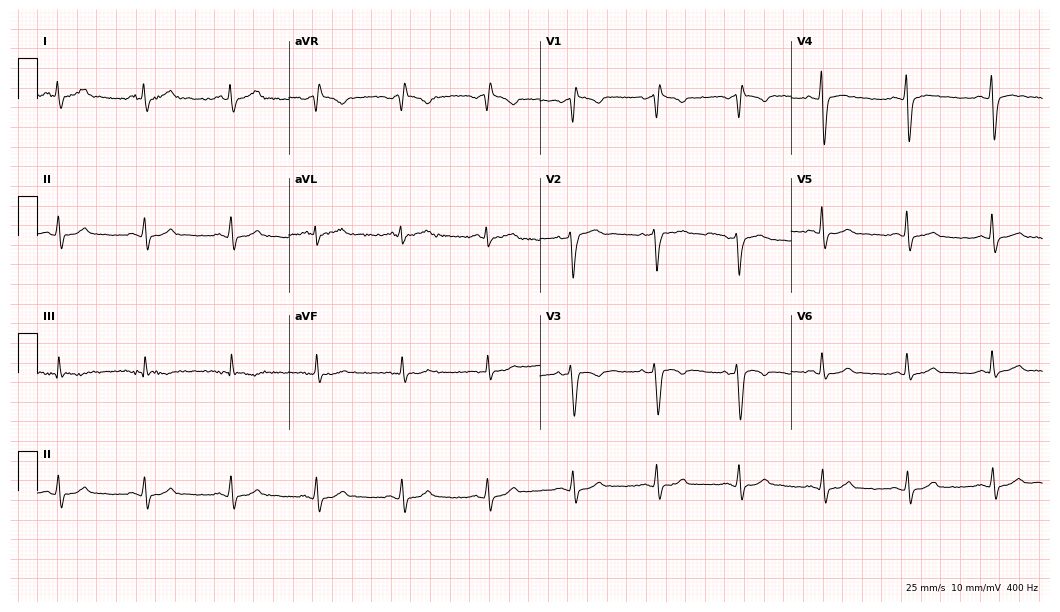
12-lead ECG from a male patient, 52 years old (10.2-second recording at 400 Hz). Shows right bundle branch block.